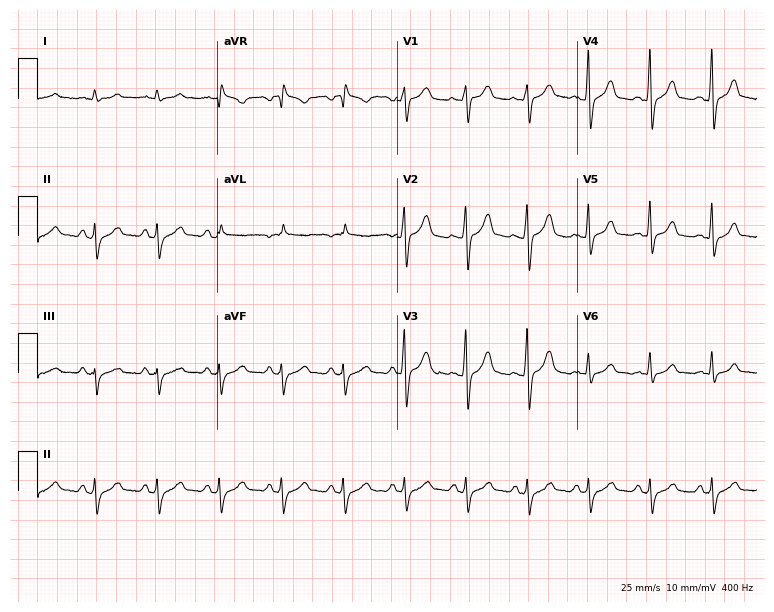
Standard 12-lead ECG recorded from a male, 51 years old. None of these six findings is recorded: first-degree AV block, right bundle branch block, left bundle branch block, sinus bradycardia, atrial fibrillation, sinus tachycardia. Only these six findings were labelled.